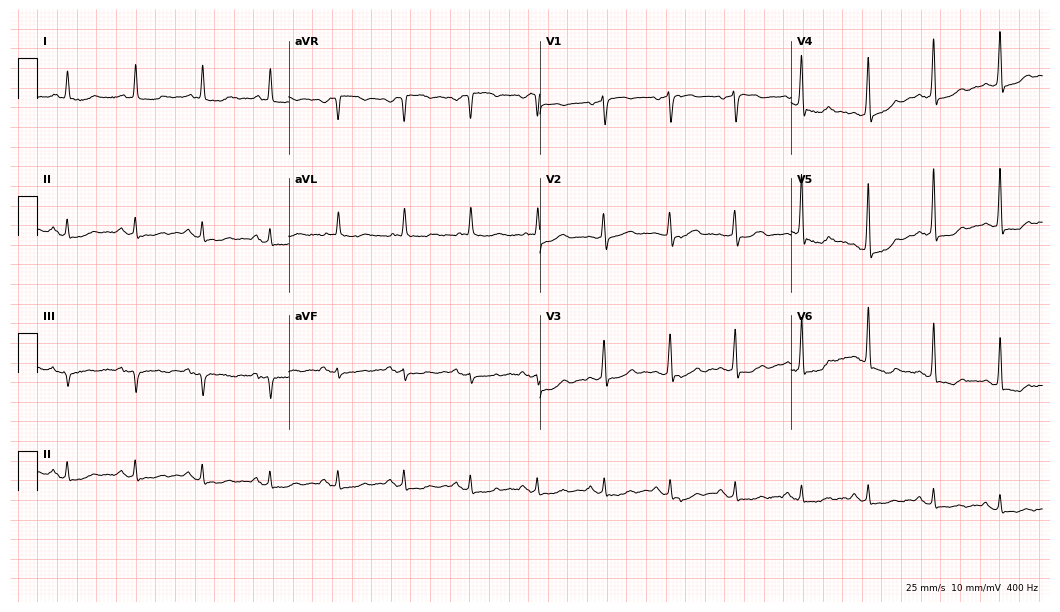
Electrocardiogram (10.2-second recording at 400 Hz), a male, 70 years old. Of the six screened findings (first-degree AV block, right bundle branch block (RBBB), left bundle branch block (LBBB), sinus bradycardia, atrial fibrillation (AF), sinus tachycardia), none is recorded.